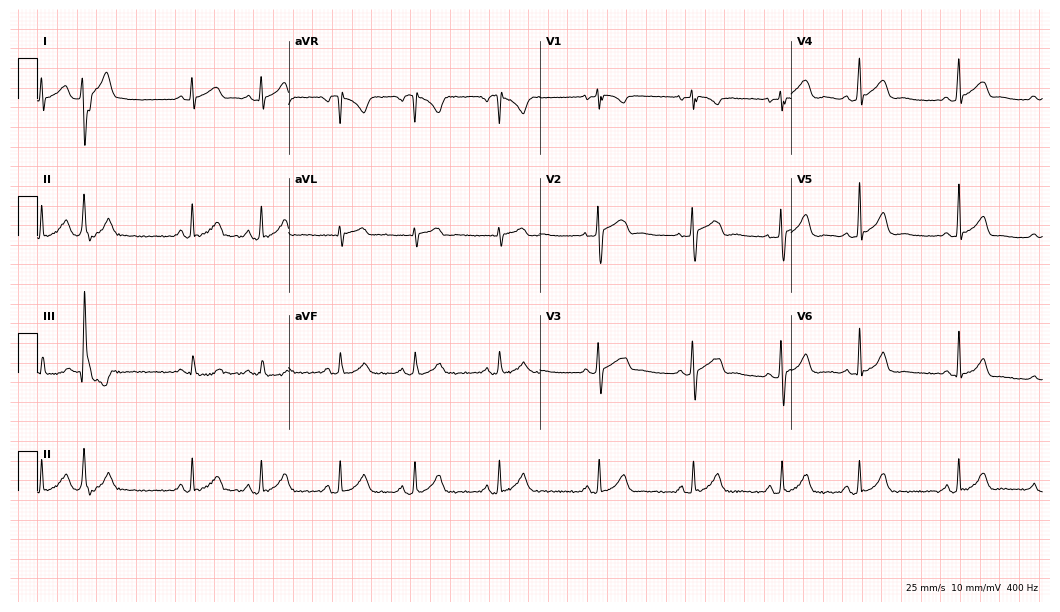
12-lead ECG (10.2-second recording at 400 Hz) from a 24-year-old female. Screened for six findings — first-degree AV block, right bundle branch block, left bundle branch block, sinus bradycardia, atrial fibrillation, sinus tachycardia — none is recorded.